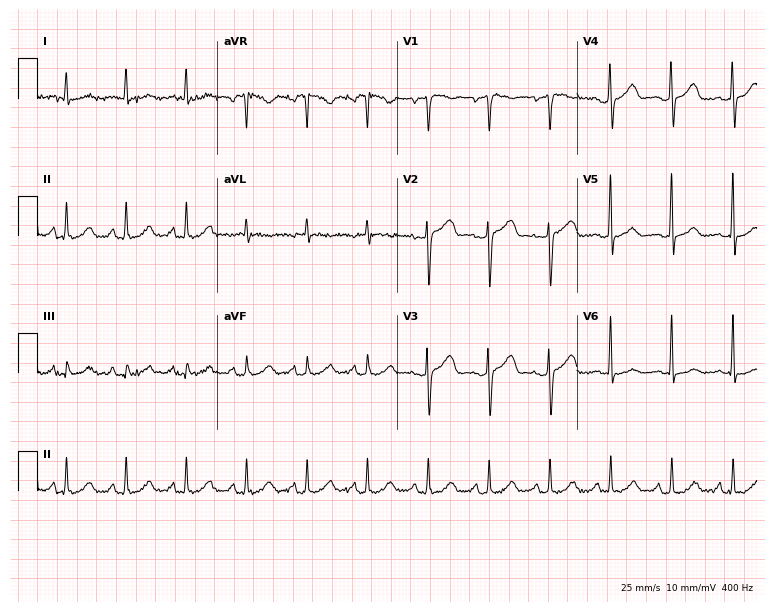
Electrocardiogram, a woman, 55 years old. Of the six screened findings (first-degree AV block, right bundle branch block, left bundle branch block, sinus bradycardia, atrial fibrillation, sinus tachycardia), none is recorded. Findings outside these six are not listed.